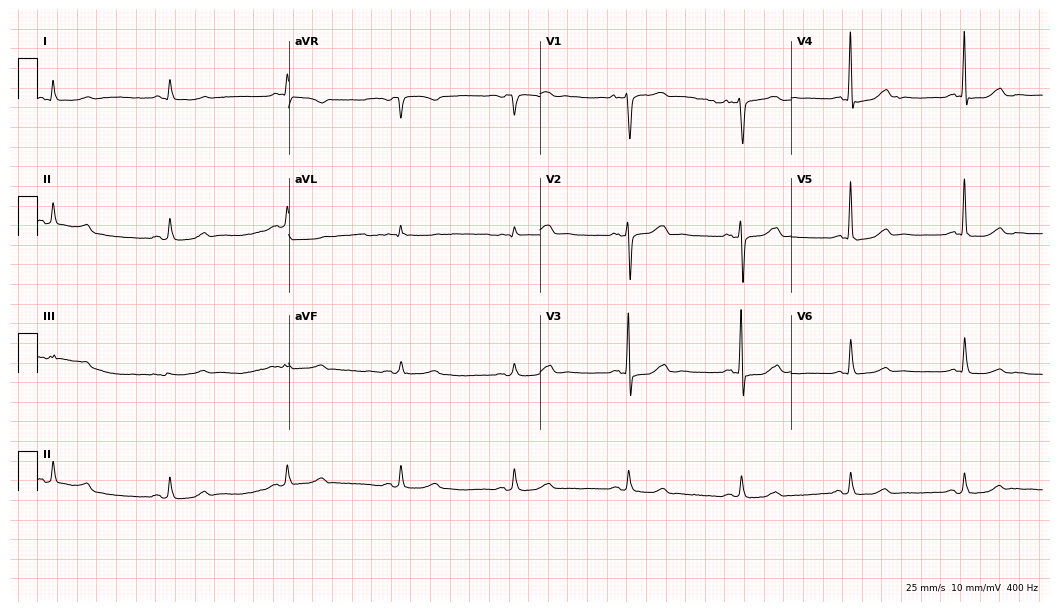
12-lead ECG from a man, 70 years old. Labelled as a normal ECG.